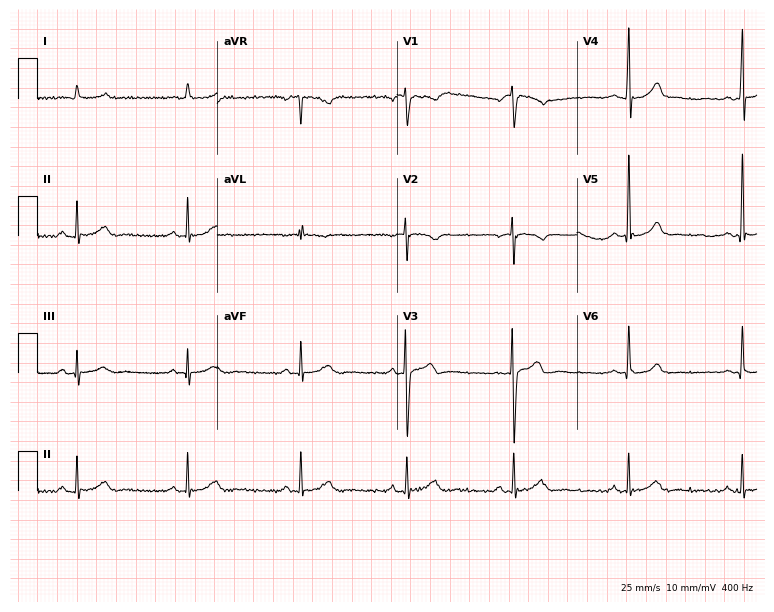
12-lead ECG from a male patient, 31 years old. Labelled as a normal ECG.